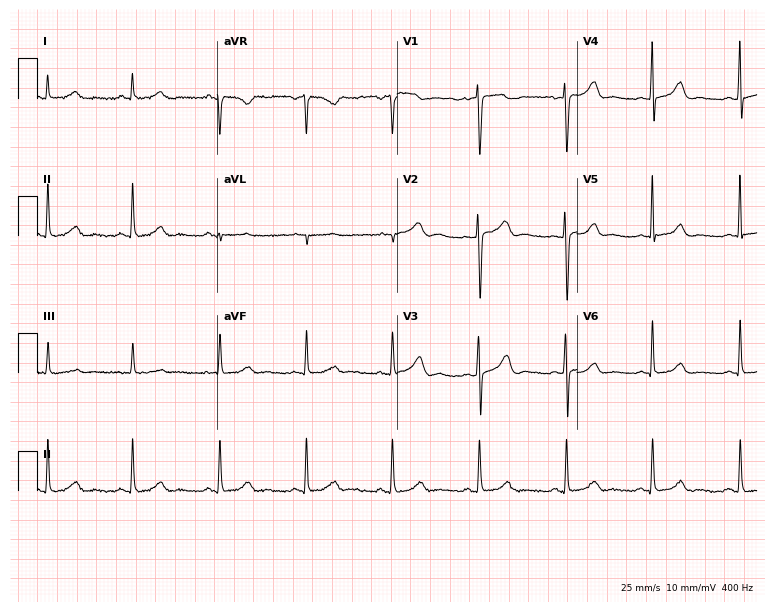
Electrocardiogram, a 45-year-old woman. Overall reading on record: normal ECG.